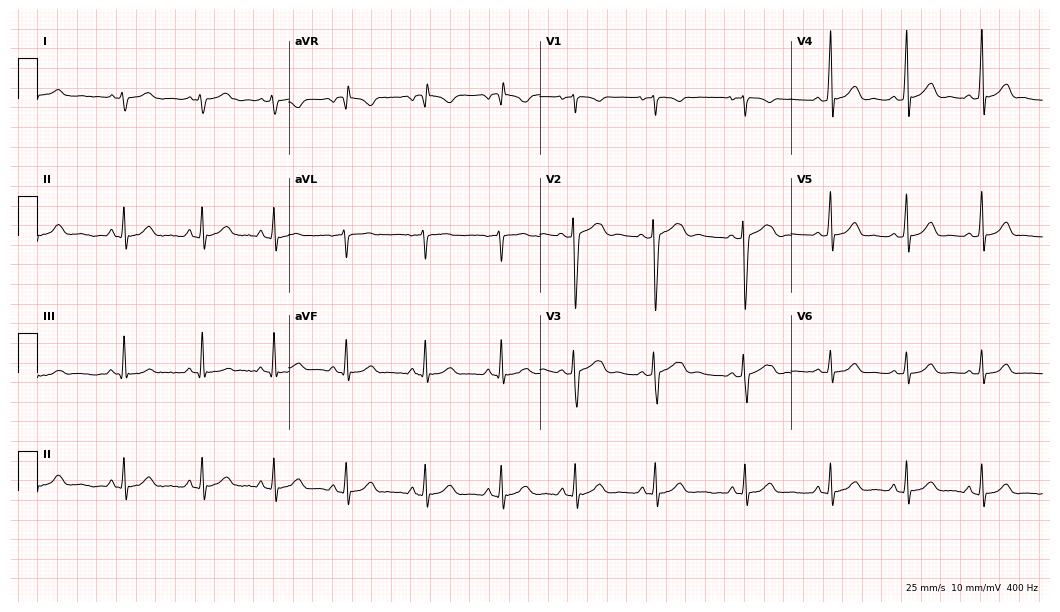
Standard 12-lead ECG recorded from a 17-year-old female. Read as a normal ECG.